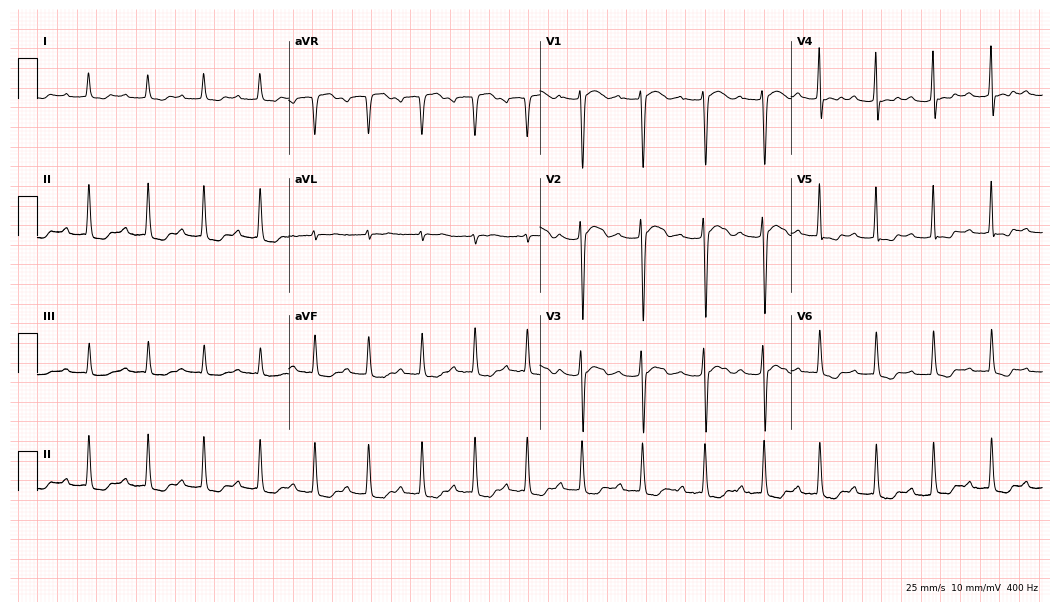
Standard 12-lead ECG recorded from a female, 24 years old. None of these six findings is recorded: first-degree AV block, right bundle branch block, left bundle branch block, sinus bradycardia, atrial fibrillation, sinus tachycardia. Only these six findings were labelled.